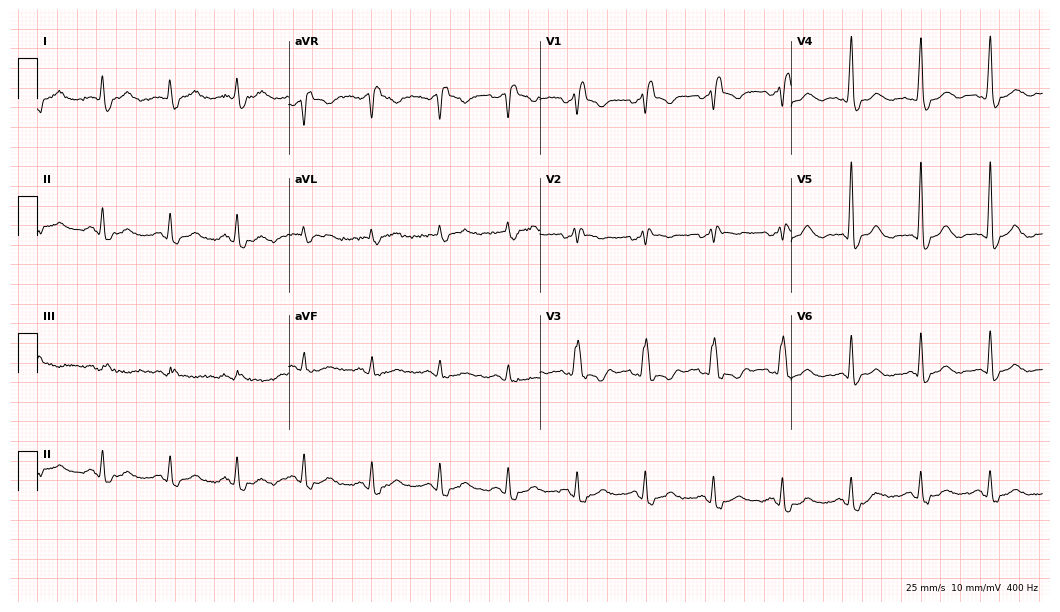
Resting 12-lead electrocardiogram (10.2-second recording at 400 Hz). Patient: a male, 51 years old. None of these six findings is recorded: first-degree AV block, right bundle branch block, left bundle branch block, sinus bradycardia, atrial fibrillation, sinus tachycardia. Other findings, if any, are not listed.